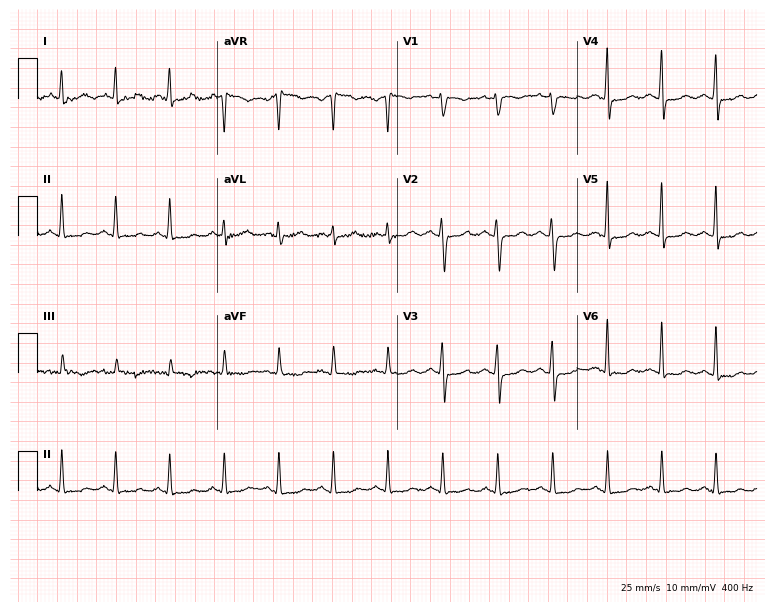
Standard 12-lead ECG recorded from a female patient, 39 years old (7.3-second recording at 400 Hz). None of these six findings is recorded: first-degree AV block, right bundle branch block, left bundle branch block, sinus bradycardia, atrial fibrillation, sinus tachycardia.